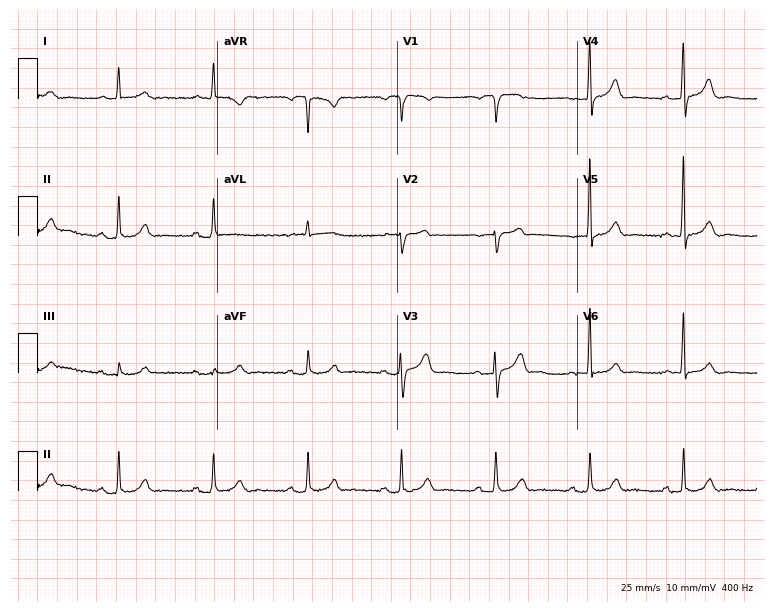
12-lead ECG from a male, 83 years old. Recorded interpretation: within normal limits.